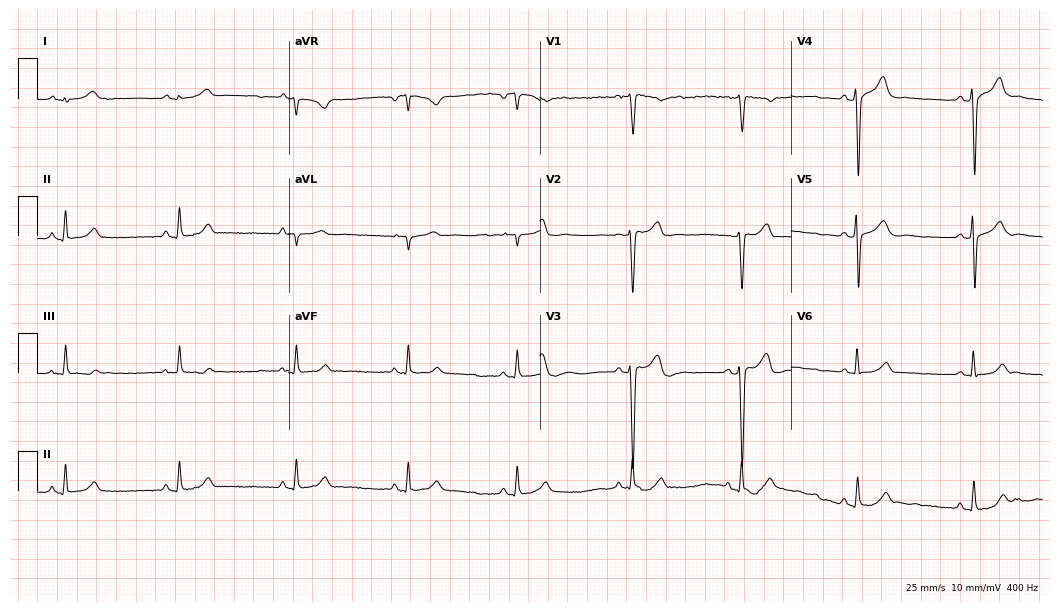
12-lead ECG (10.2-second recording at 400 Hz) from a 43-year-old male patient. Labelled as a normal ECG.